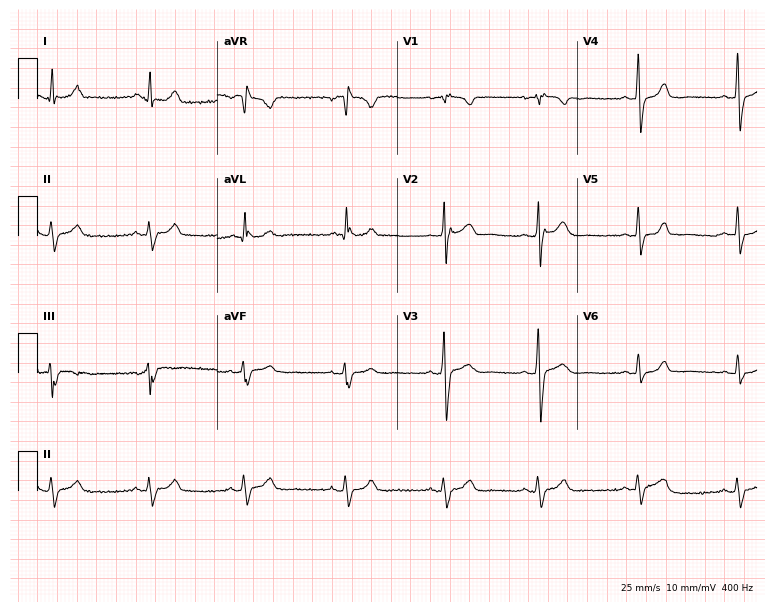
Standard 12-lead ECG recorded from a 57-year-old woman. None of these six findings is recorded: first-degree AV block, right bundle branch block (RBBB), left bundle branch block (LBBB), sinus bradycardia, atrial fibrillation (AF), sinus tachycardia.